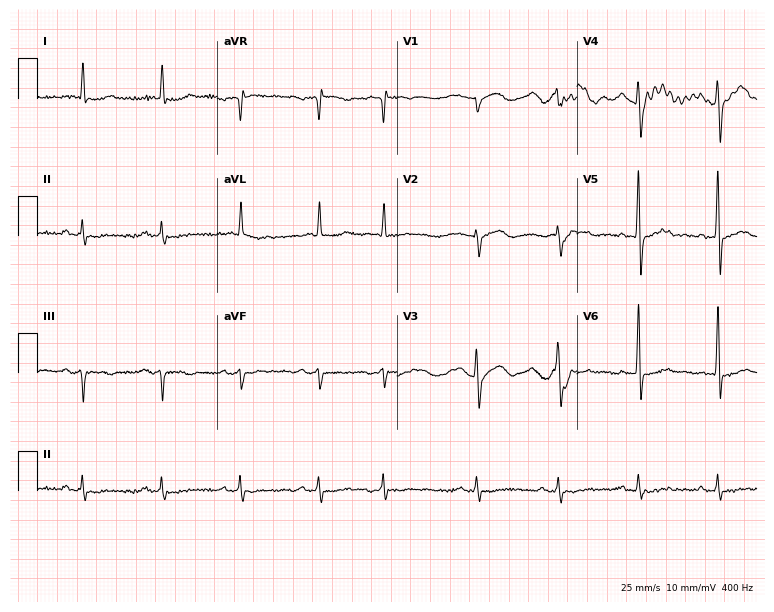
Standard 12-lead ECG recorded from a 77-year-old male (7.3-second recording at 400 Hz). None of these six findings is recorded: first-degree AV block, right bundle branch block, left bundle branch block, sinus bradycardia, atrial fibrillation, sinus tachycardia.